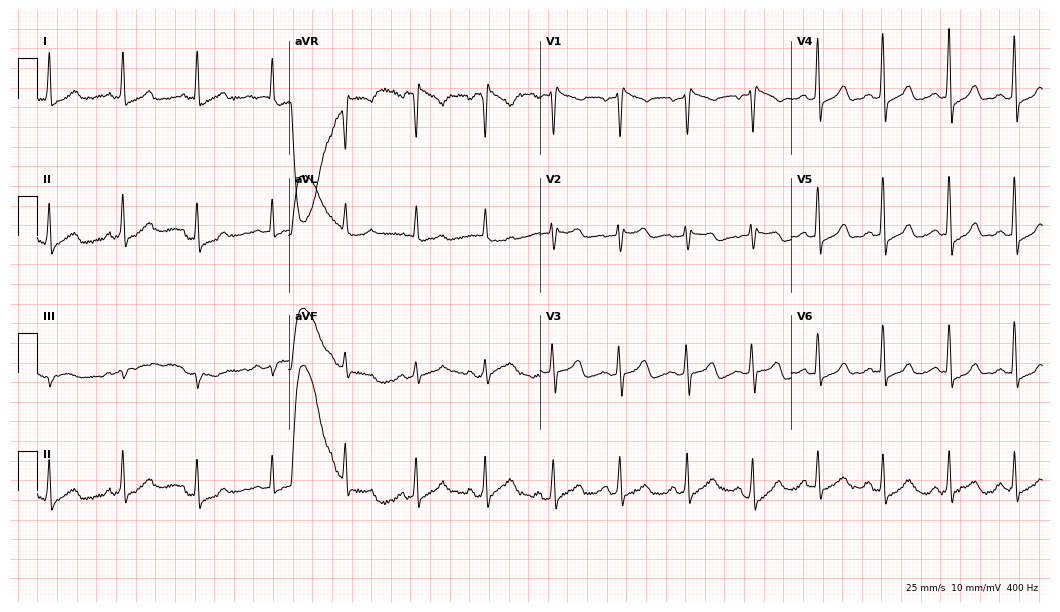
Standard 12-lead ECG recorded from a 56-year-old female patient (10.2-second recording at 400 Hz). None of these six findings is recorded: first-degree AV block, right bundle branch block, left bundle branch block, sinus bradycardia, atrial fibrillation, sinus tachycardia.